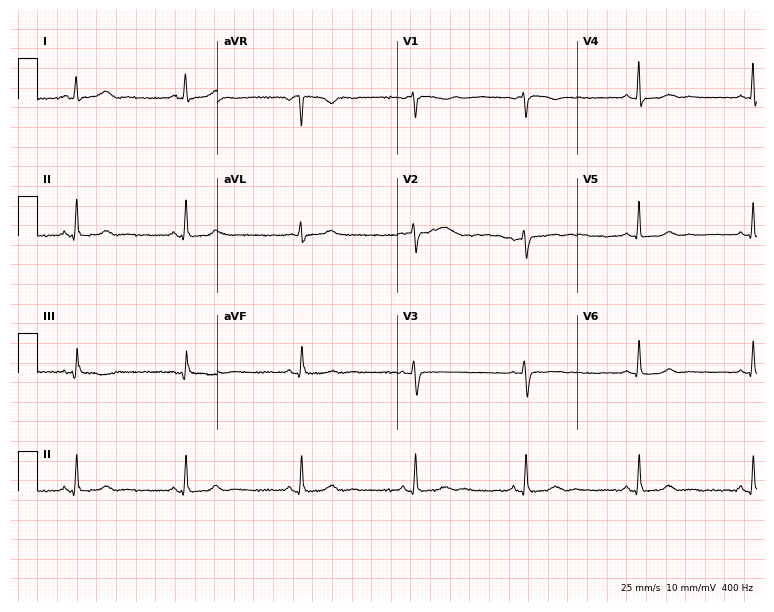
Resting 12-lead electrocardiogram. Patient: a 46-year-old female. Read as a normal ECG.